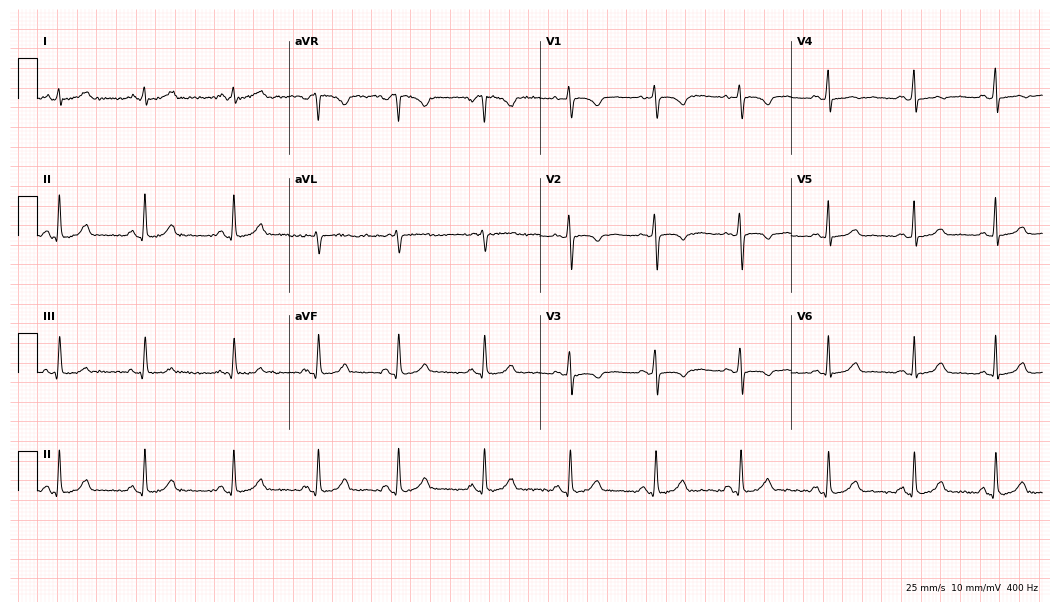
Resting 12-lead electrocardiogram (10.2-second recording at 400 Hz). Patient: a female, 30 years old. Read as a normal ECG.